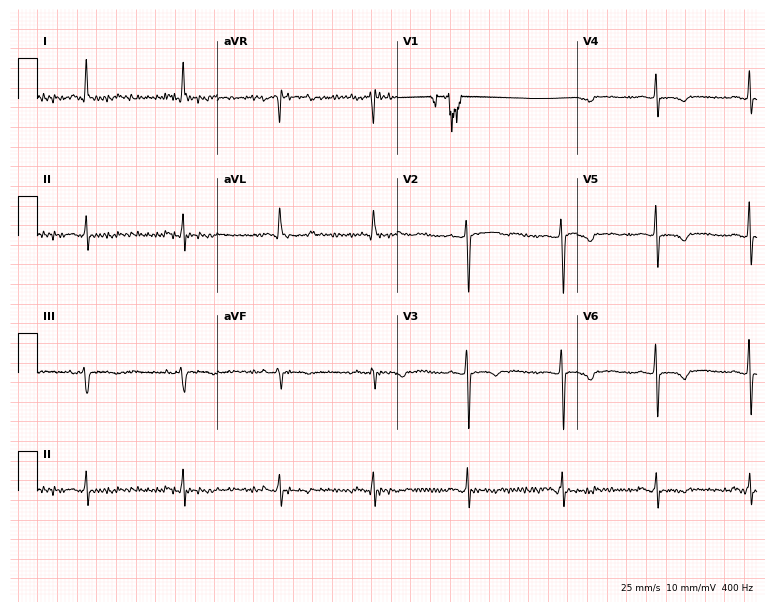
Resting 12-lead electrocardiogram (7.3-second recording at 400 Hz). Patient: a female, 59 years old. None of these six findings is recorded: first-degree AV block, right bundle branch block (RBBB), left bundle branch block (LBBB), sinus bradycardia, atrial fibrillation (AF), sinus tachycardia.